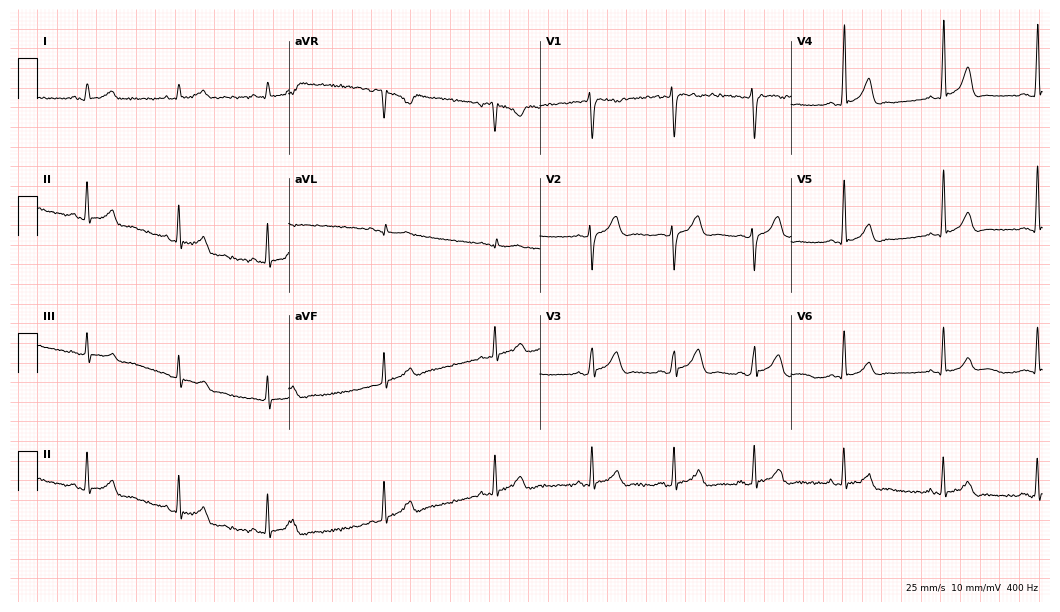
12-lead ECG from a 27-year-old male (10.2-second recording at 400 Hz). No first-degree AV block, right bundle branch block, left bundle branch block, sinus bradycardia, atrial fibrillation or sinus tachycardia recorded for this tracing.